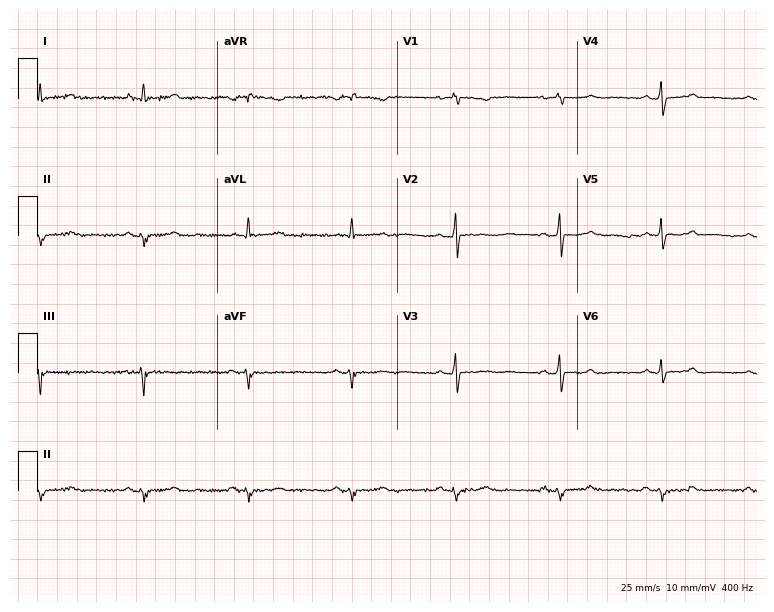
Electrocardiogram (7.3-second recording at 400 Hz), a female, 50 years old. Of the six screened findings (first-degree AV block, right bundle branch block (RBBB), left bundle branch block (LBBB), sinus bradycardia, atrial fibrillation (AF), sinus tachycardia), none is recorded. Only these six findings were labelled.